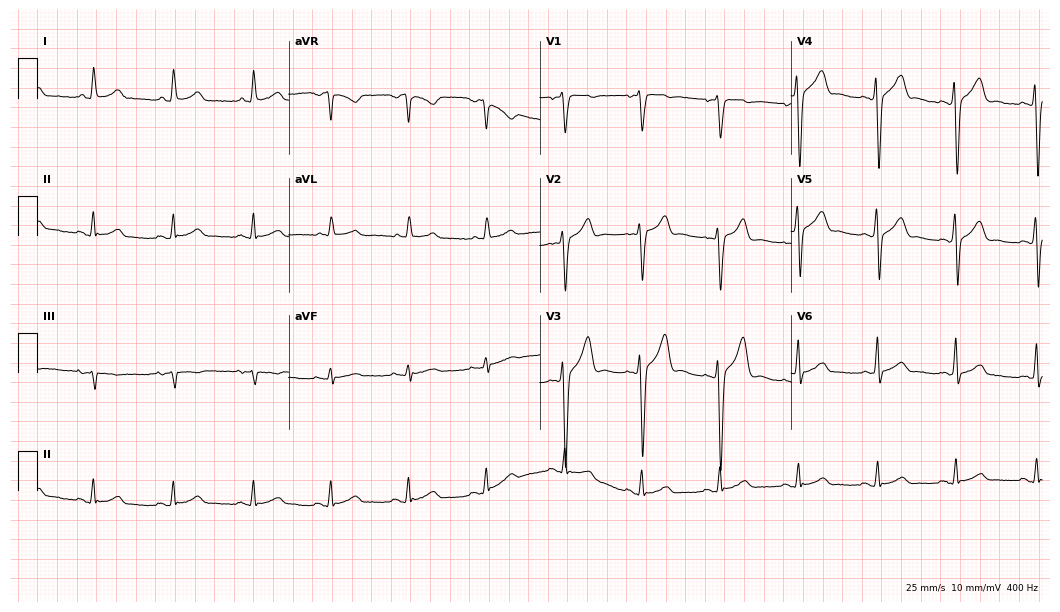
12-lead ECG from a male patient, 35 years old (10.2-second recording at 400 Hz). No first-degree AV block, right bundle branch block (RBBB), left bundle branch block (LBBB), sinus bradycardia, atrial fibrillation (AF) or sinus tachycardia recorded for this tracing.